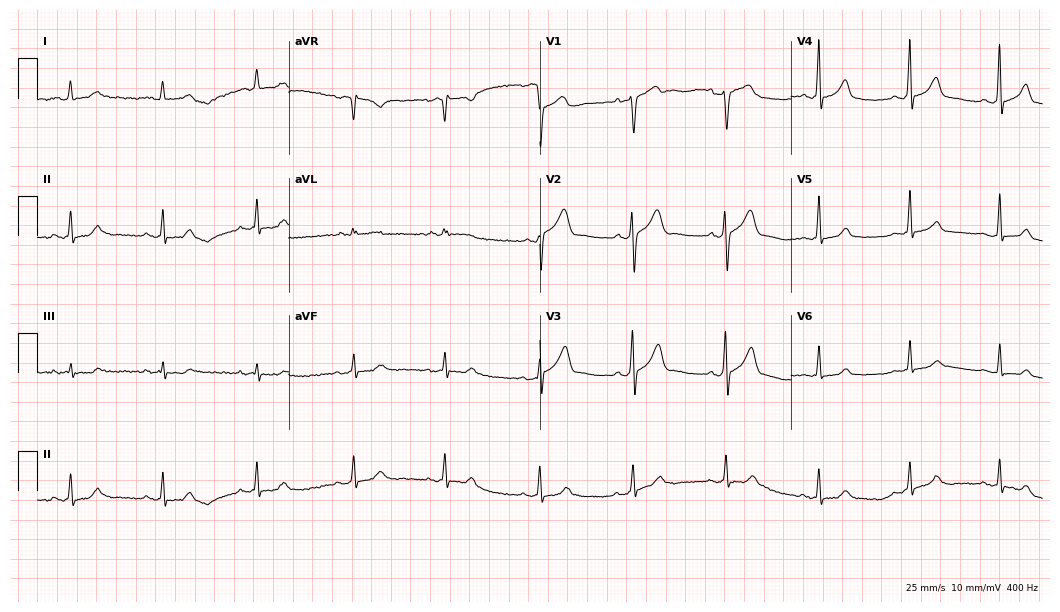
ECG — a man, 21 years old. Labelled as a normal ECG.